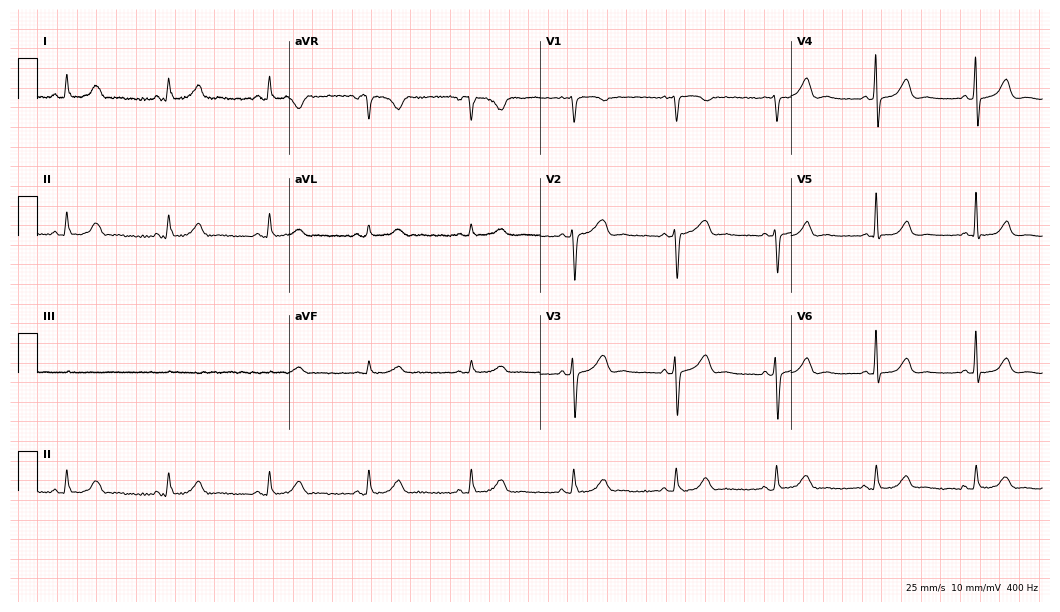
12-lead ECG (10.2-second recording at 400 Hz) from a female, 54 years old. Labelled as a normal ECG.